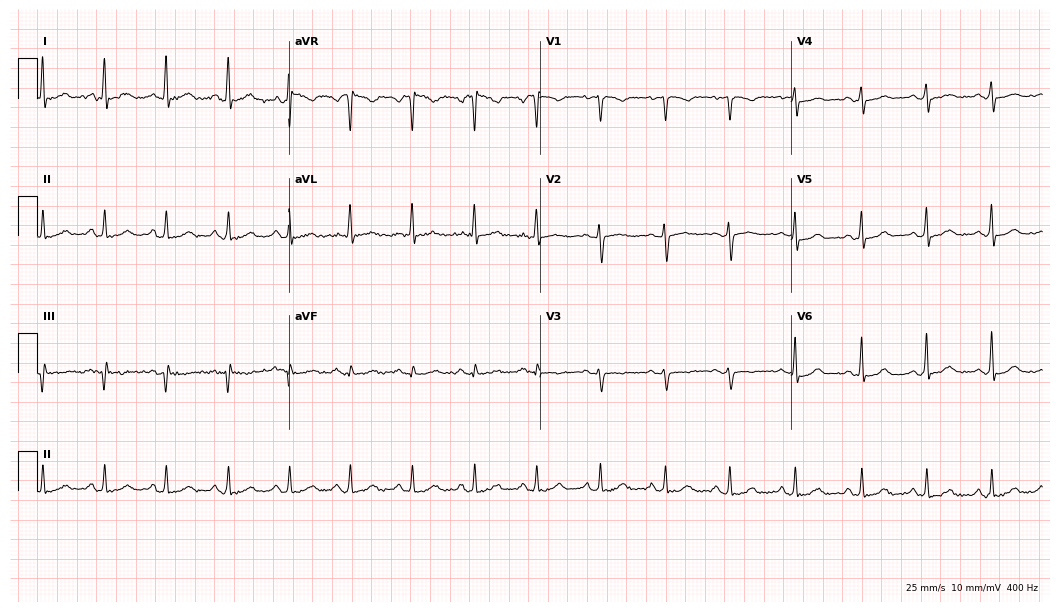
12-lead ECG (10.2-second recording at 400 Hz) from a female, 32 years old. Labelled as a normal ECG.